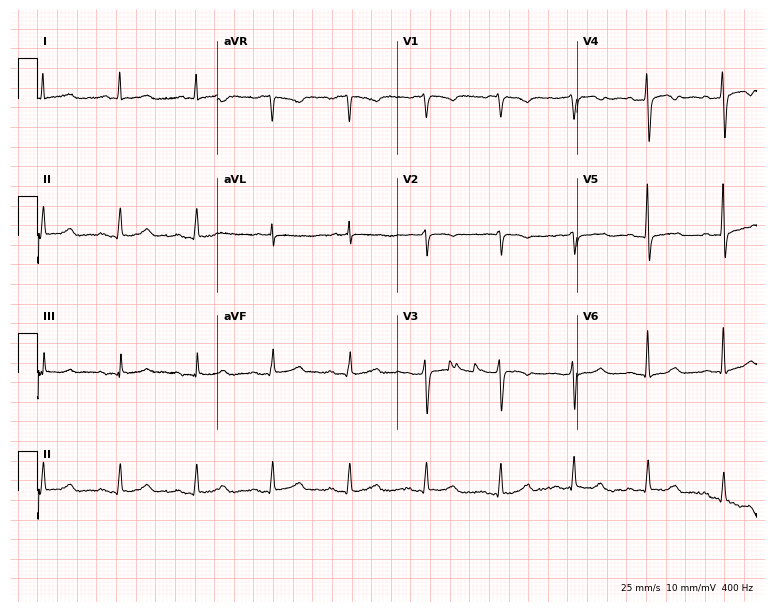
12-lead ECG from a female, 52 years old. Screened for six findings — first-degree AV block, right bundle branch block, left bundle branch block, sinus bradycardia, atrial fibrillation, sinus tachycardia — none is recorded.